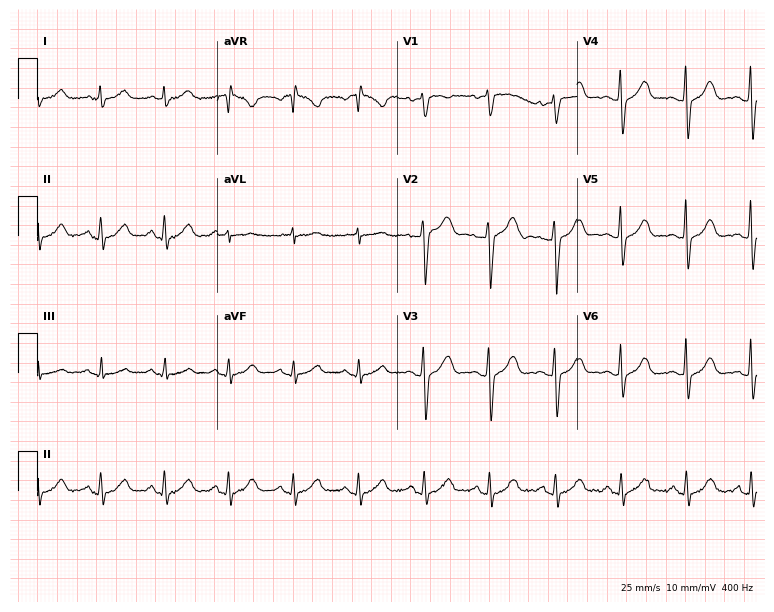
Electrocardiogram, a female patient, 44 years old. Of the six screened findings (first-degree AV block, right bundle branch block, left bundle branch block, sinus bradycardia, atrial fibrillation, sinus tachycardia), none is recorded. Other findings, if any, are not listed.